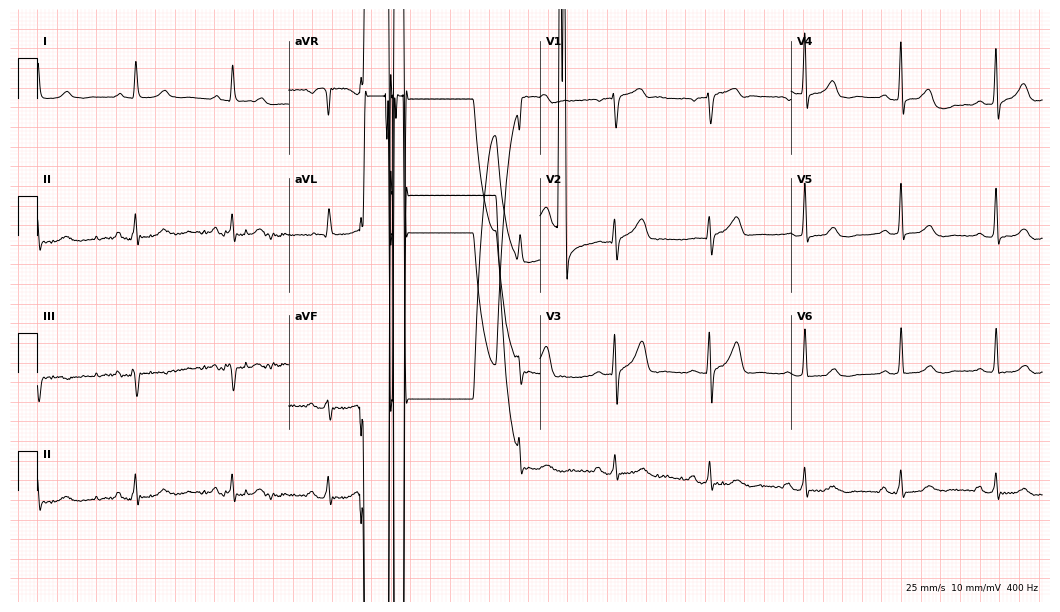
12-lead ECG from a male patient, 75 years old. Recorded interpretation: within normal limits.